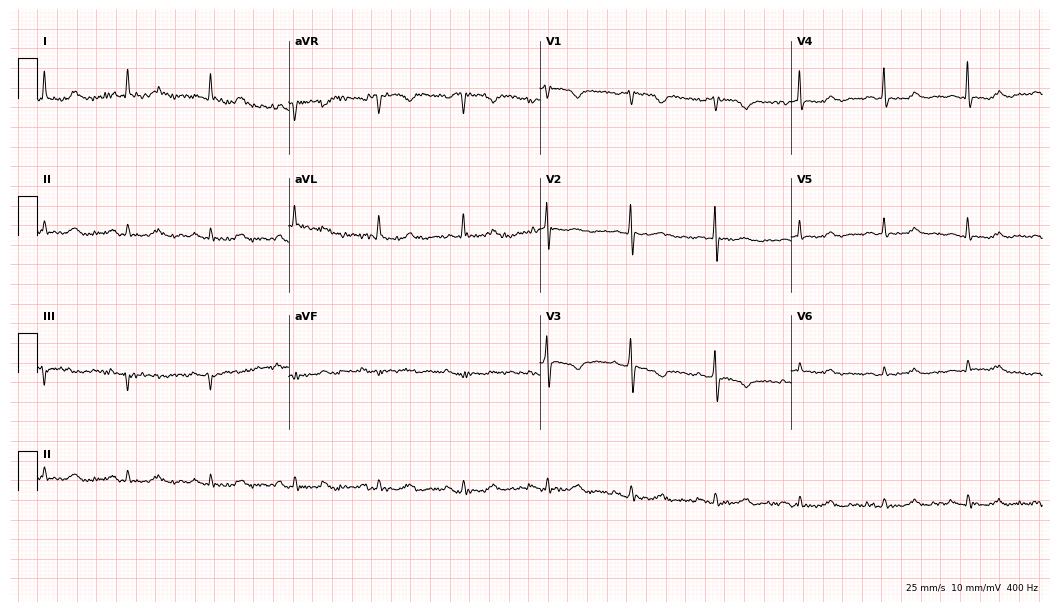
Resting 12-lead electrocardiogram. Patient: a female, 74 years old. Read as a normal ECG.